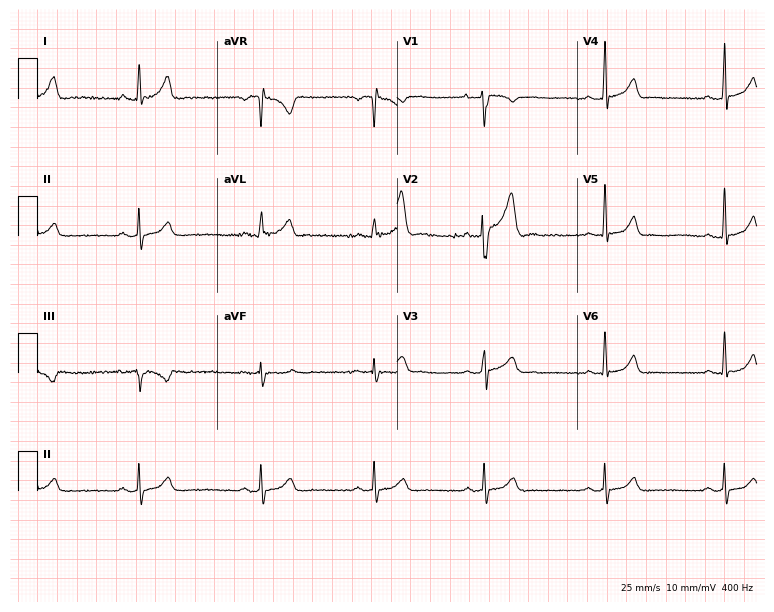
Standard 12-lead ECG recorded from a 36-year-old male. Read as a normal ECG.